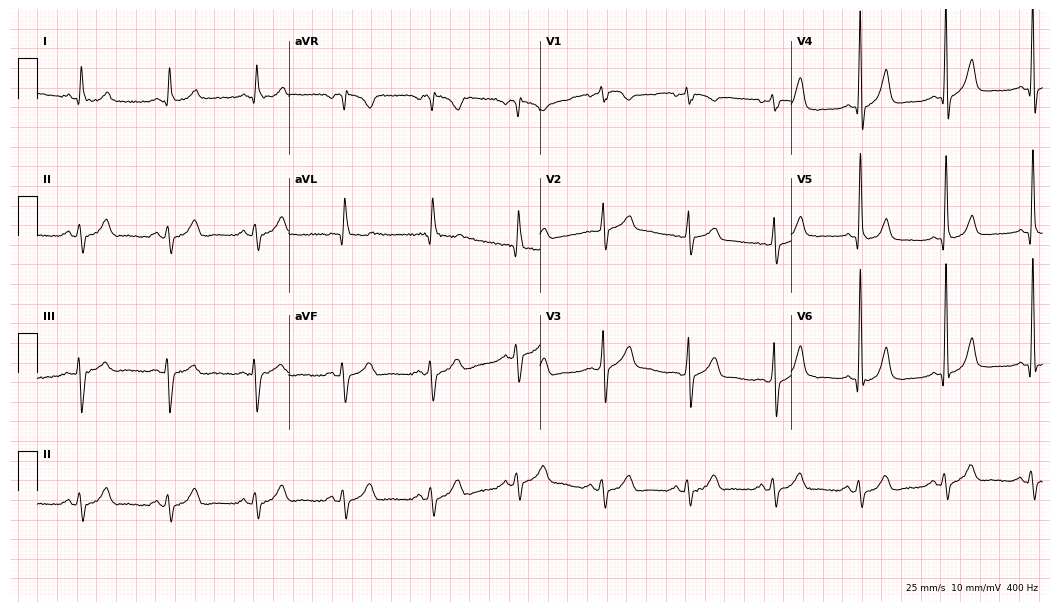
Standard 12-lead ECG recorded from a 70-year-old male patient. None of these six findings is recorded: first-degree AV block, right bundle branch block (RBBB), left bundle branch block (LBBB), sinus bradycardia, atrial fibrillation (AF), sinus tachycardia. Only these six findings were labelled.